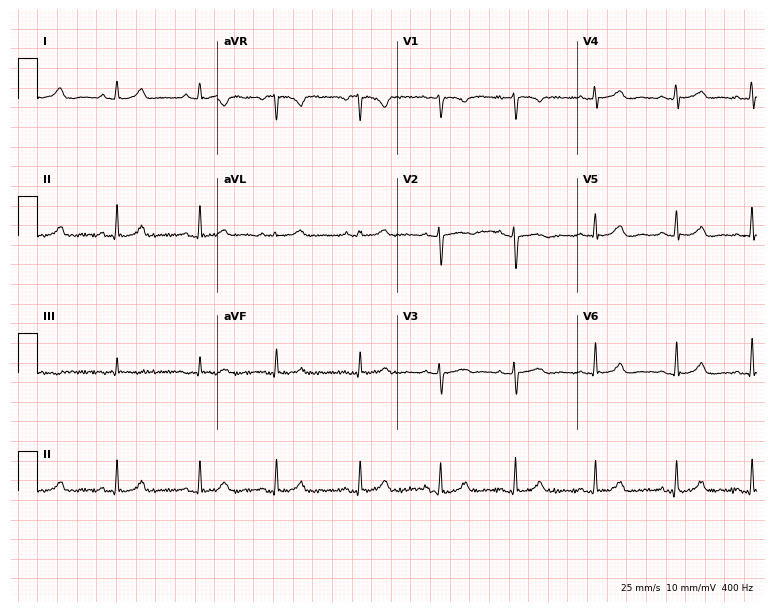
Standard 12-lead ECG recorded from a 35-year-old female patient. Read as a normal ECG.